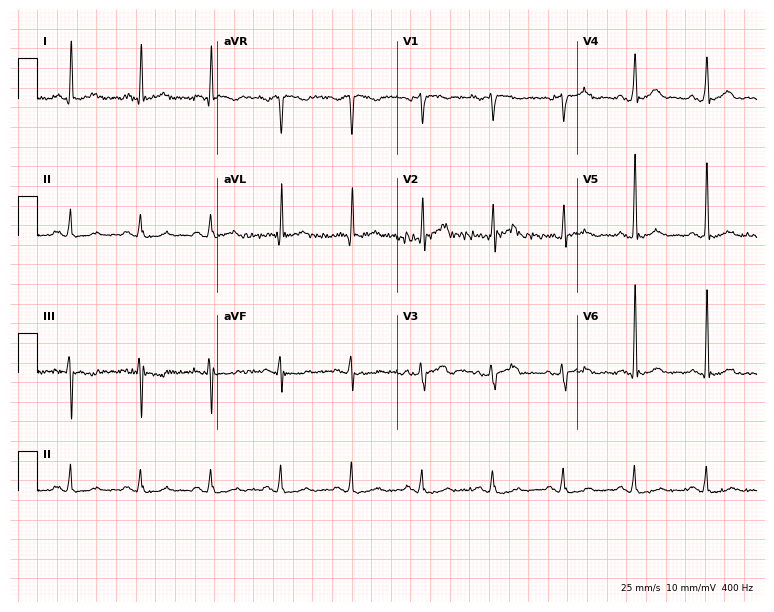
12-lead ECG from a male, 54 years old (7.3-second recording at 400 Hz). Recorded interpretation: within normal limits.